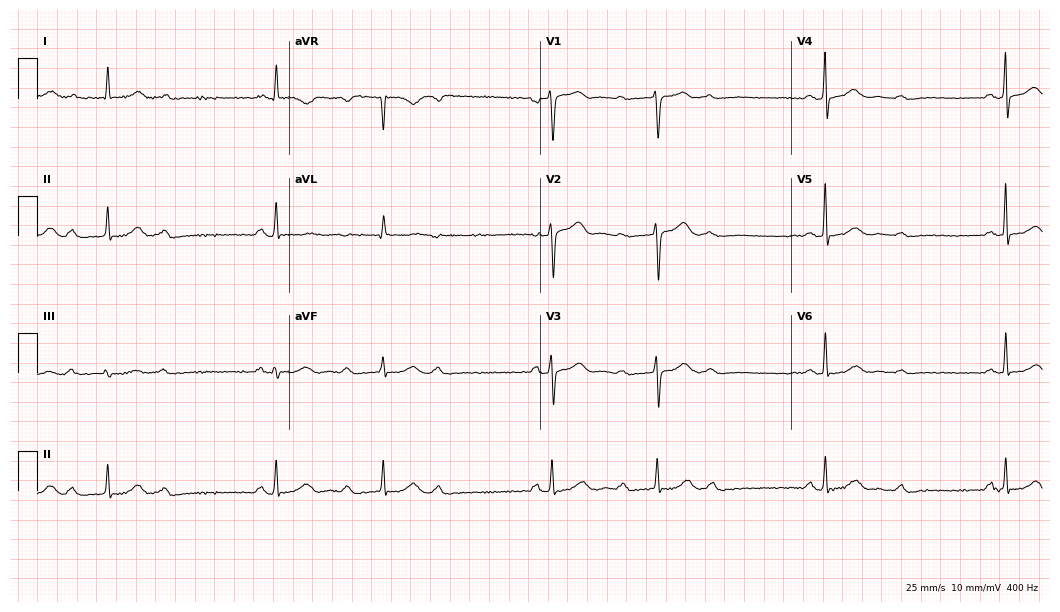
Resting 12-lead electrocardiogram. Patient: a female, 57 years old. None of these six findings is recorded: first-degree AV block, right bundle branch block, left bundle branch block, sinus bradycardia, atrial fibrillation, sinus tachycardia. Findings outside these six are not listed.